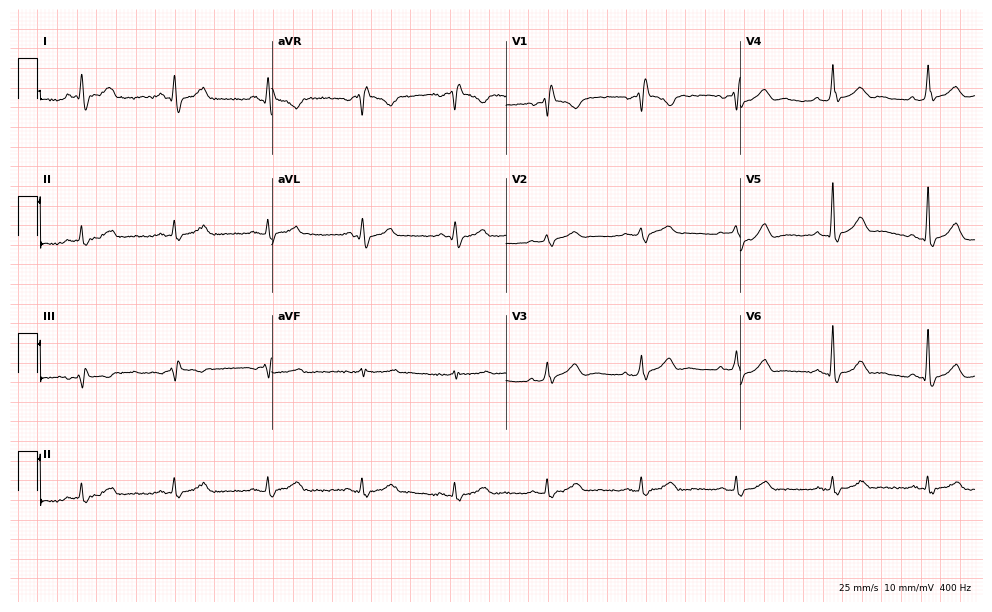
Electrocardiogram, a male, 62 years old. Interpretation includes right bundle branch block.